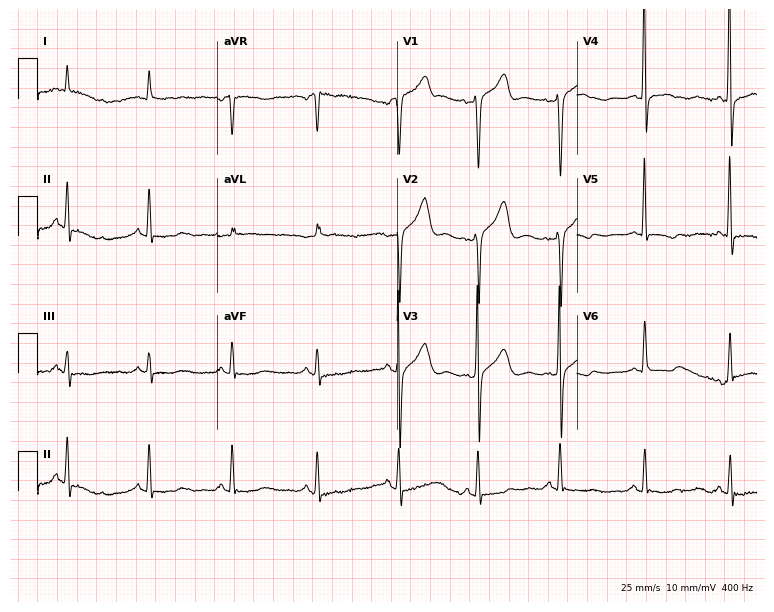
Electrocardiogram, a 78-year-old male. Of the six screened findings (first-degree AV block, right bundle branch block (RBBB), left bundle branch block (LBBB), sinus bradycardia, atrial fibrillation (AF), sinus tachycardia), none is recorded. Only these six findings were labelled.